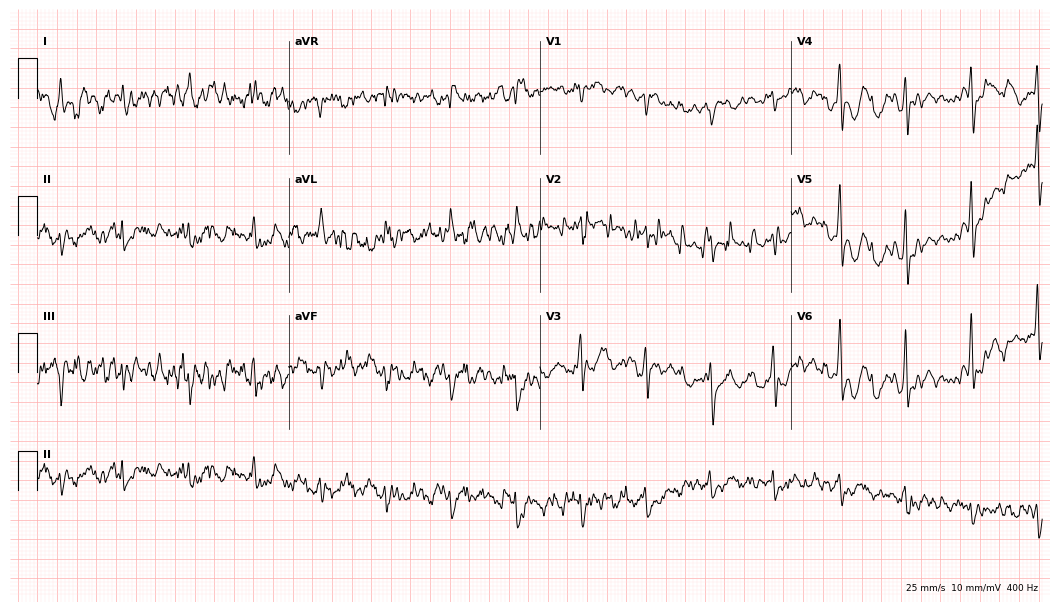
12-lead ECG from an 80-year-old male patient. No first-degree AV block, right bundle branch block, left bundle branch block, sinus bradycardia, atrial fibrillation or sinus tachycardia recorded for this tracing.